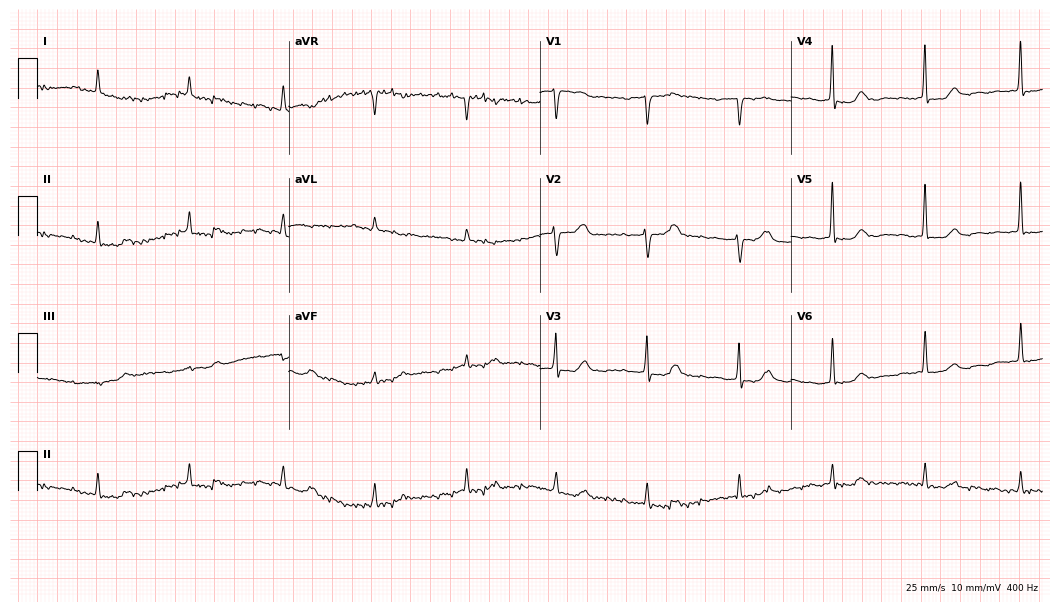
12-lead ECG (10.2-second recording at 400 Hz) from a female, 79 years old. Screened for six findings — first-degree AV block, right bundle branch block, left bundle branch block, sinus bradycardia, atrial fibrillation, sinus tachycardia — none is recorded. Other findings, if any, are not listed.